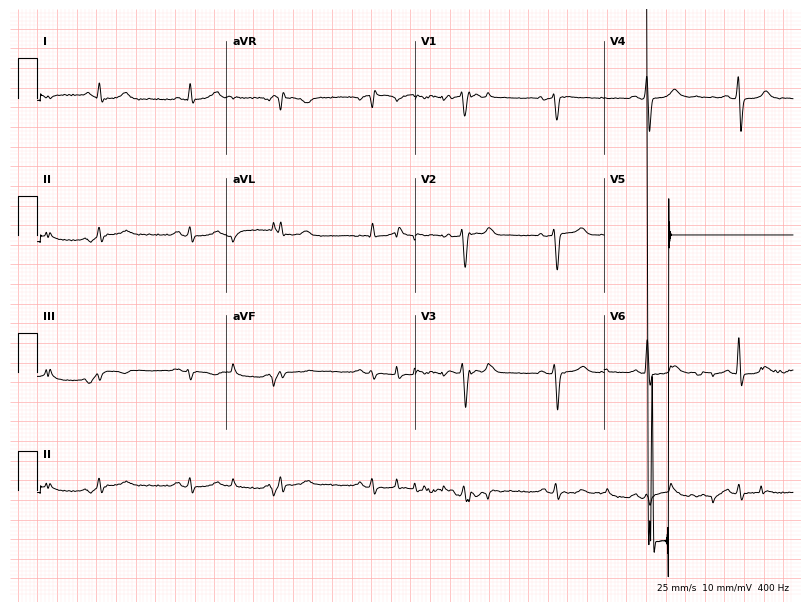
12-lead ECG from a 71-year-old male. No first-degree AV block, right bundle branch block (RBBB), left bundle branch block (LBBB), sinus bradycardia, atrial fibrillation (AF) or sinus tachycardia recorded for this tracing. Findings outside these six are not listed.